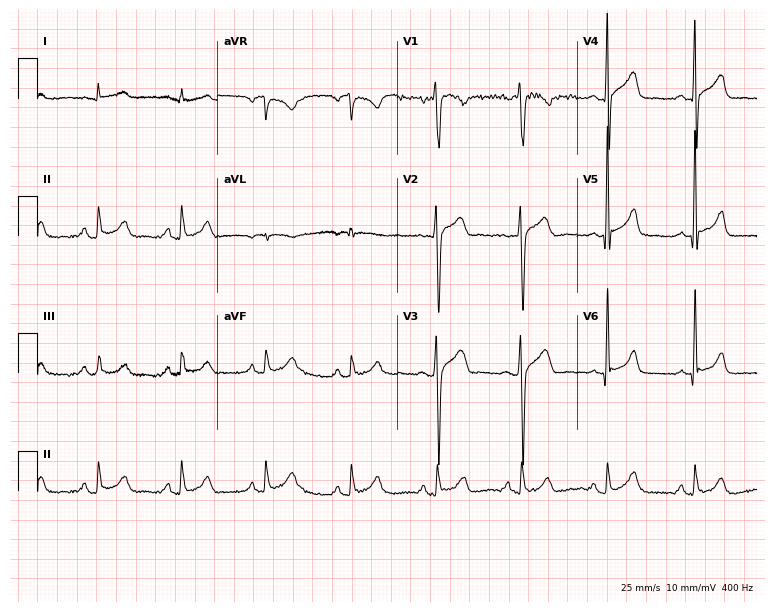
Standard 12-lead ECG recorded from a 48-year-old man. None of these six findings is recorded: first-degree AV block, right bundle branch block, left bundle branch block, sinus bradycardia, atrial fibrillation, sinus tachycardia. Only these six findings were labelled.